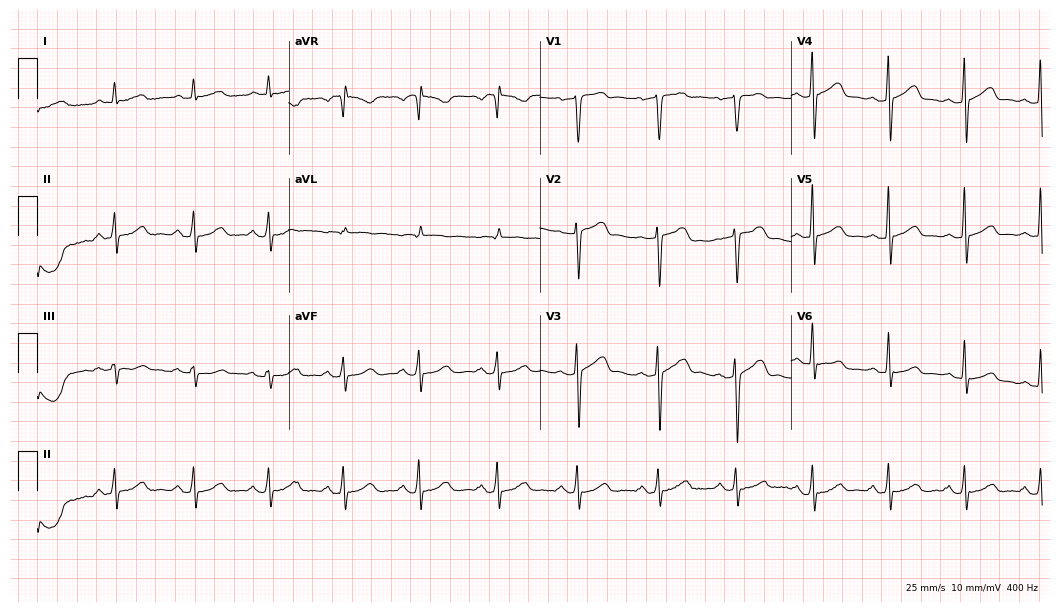
Standard 12-lead ECG recorded from a male, 63 years old (10.2-second recording at 400 Hz). Read as a normal ECG.